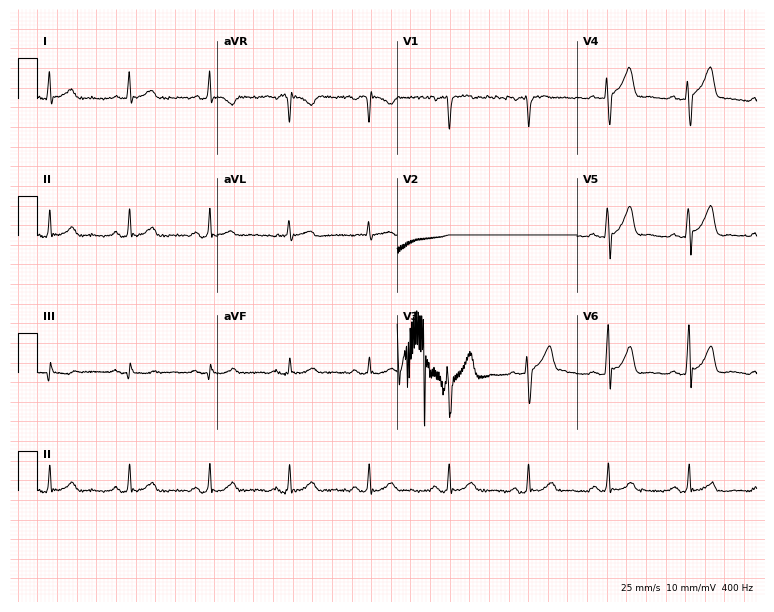
ECG (7.3-second recording at 400 Hz) — a male patient, 49 years old. Screened for six findings — first-degree AV block, right bundle branch block (RBBB), left bundle branch block (LBBB), sinus bradycardia, atrial fibrillation (AF), sinus tachycardia — none is recorded. Findings outside these six are not listed.